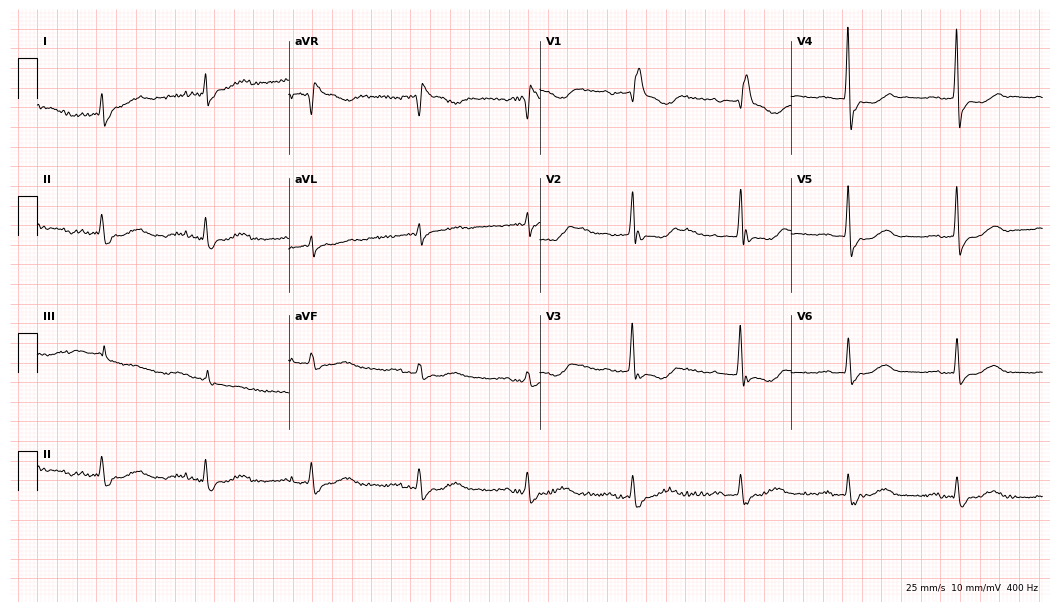
Standard 12-lead ECG recorded from a female, 83 years old (10.2-second recording at 400 Hz). None of these six findings is recorded: first-degree AV block, right bundle branch block (RBBB), left bundle branch block (LBBB), sinus bradycardia, atrial fibrillation (AF), sinus tachycardia. Findings outside these six are not listed.